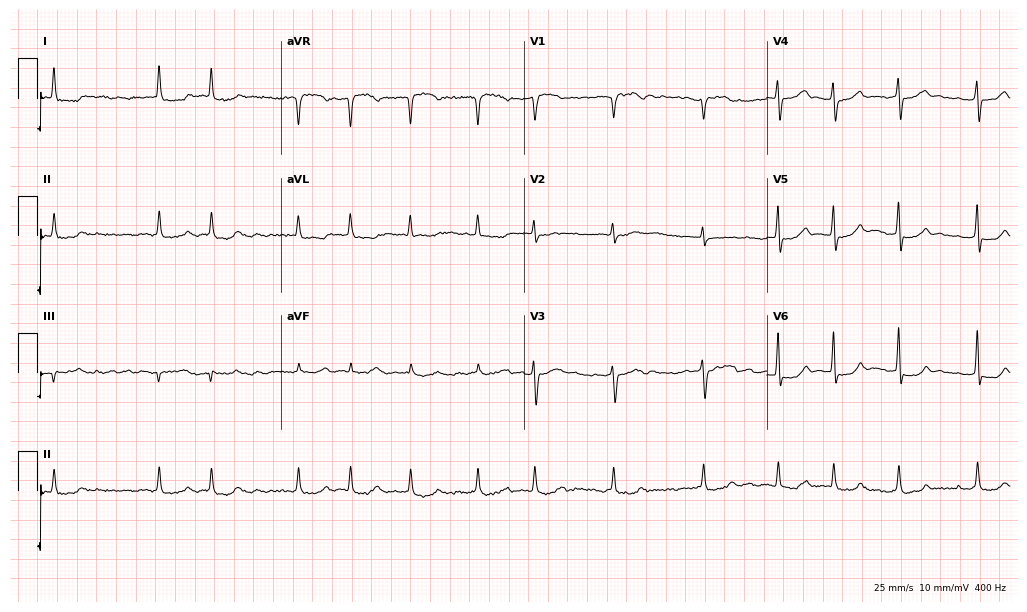
Resting 12-lead electrocardiogram (9.9-second recording at 400 Hz). Patient: an 84-year-old woman. The tracing shows atrial fibrillation.